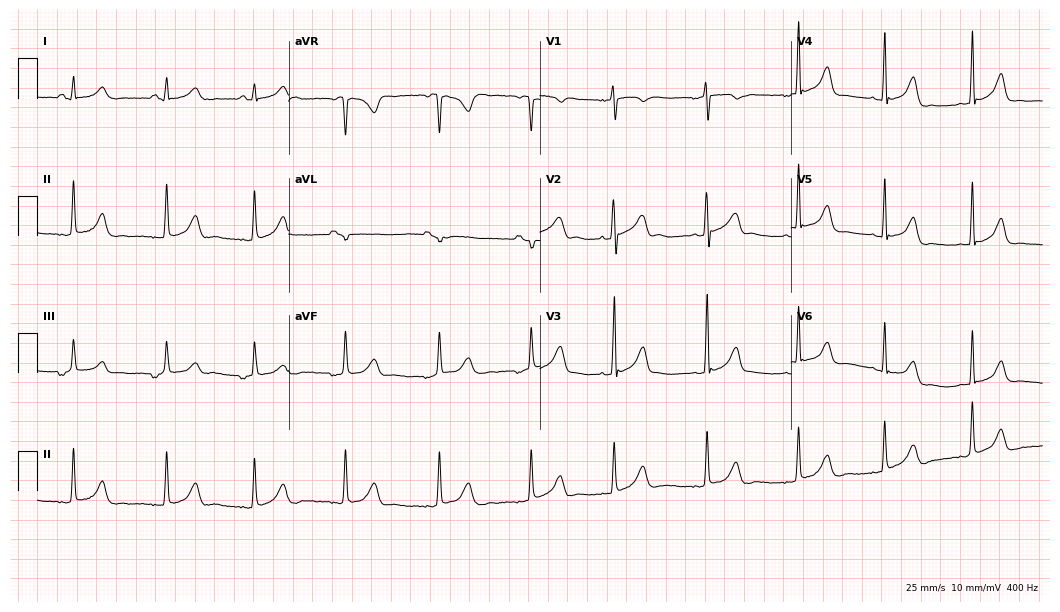
12-lead ECG (10.2-second recording at 400 Hz) from a female patient, 19 years old. Screened for six findings — first-degree AV block, right bundle branch block (RBBB), left bundle branch block (LBBB), sinus bradycardia, atrial fibrillation (AF), sinus tachycardia — none is recorded. Findings outside these six are not listed.